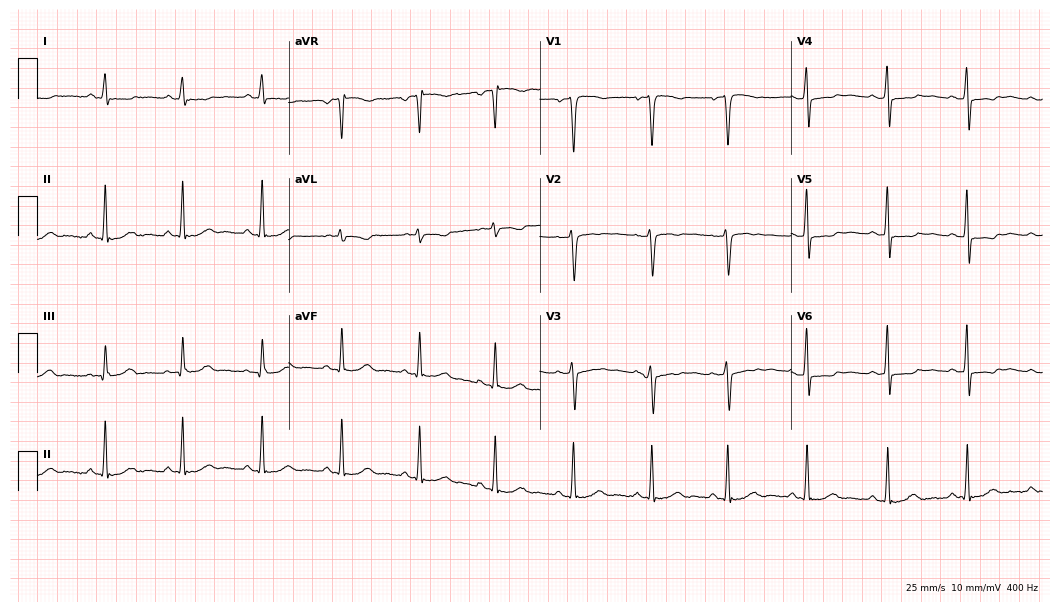
Resting 12-lead electrocardiogram (10.2-second recording at 400 Hz). Patient: a female, 41 years old. None of these six findings is recorded: first-degree AV block, right bundle branch block (RBBB), left bundle branch block (LBBB), sinus bradycardia, atrial fibrillation (AF), sinus tachycardia. Other findings, if any, are not listed.